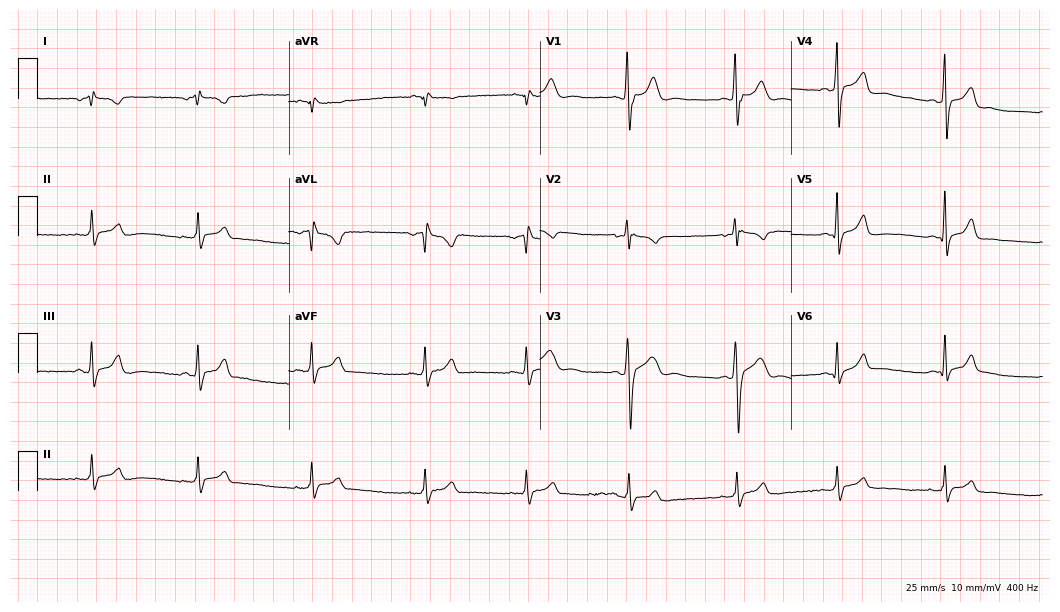
ECG — a 21-year-old male patient. Screened for six findings — first-degree AV block, right bundle branch block (RBBB), left bundle branch block (LBBB), sinus bradycardia, atrial fibrillation (AF), sinus tachycardia — none is recorded.